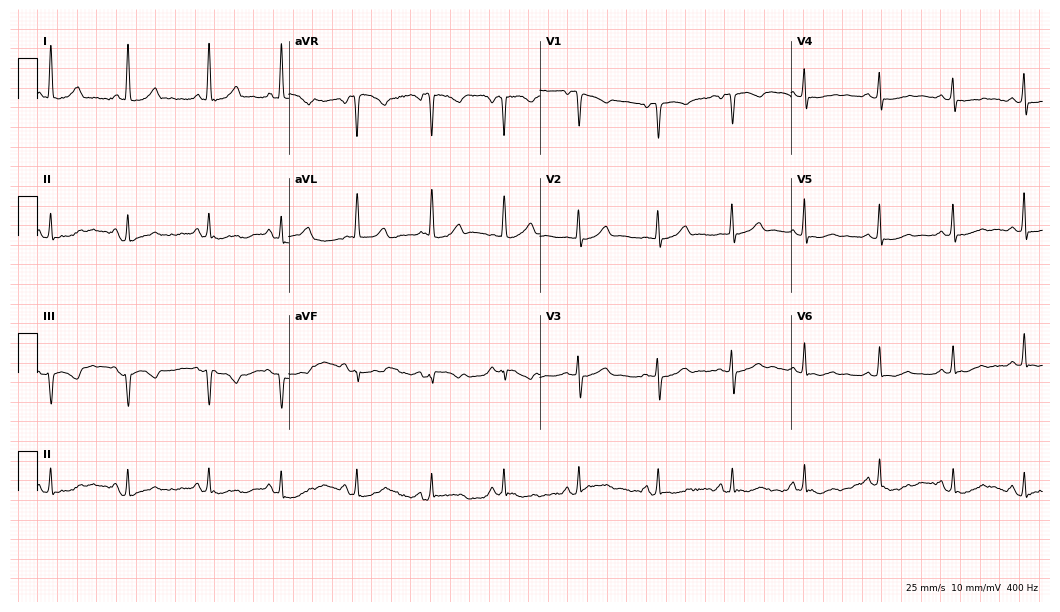
Standard 12-lead ECG recorded from a woman, 49 years old (10.2-second recording at 400 Hz). None of these six findings is recorded: first-degree AV block, right bundle branch block (RBBB), left bundle branch block (LBBB), sinus bradycardia, atrial fibrillation (AF), sinus tachycardia.